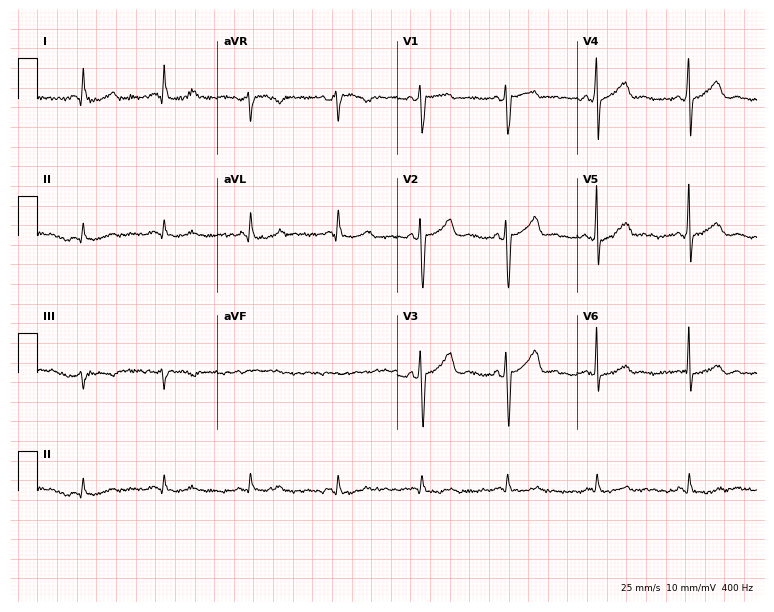
Electrocardiogram (7.3-second recording at 400 Hz), a woman, 55 years old. Overall reading on record: normal ECG.